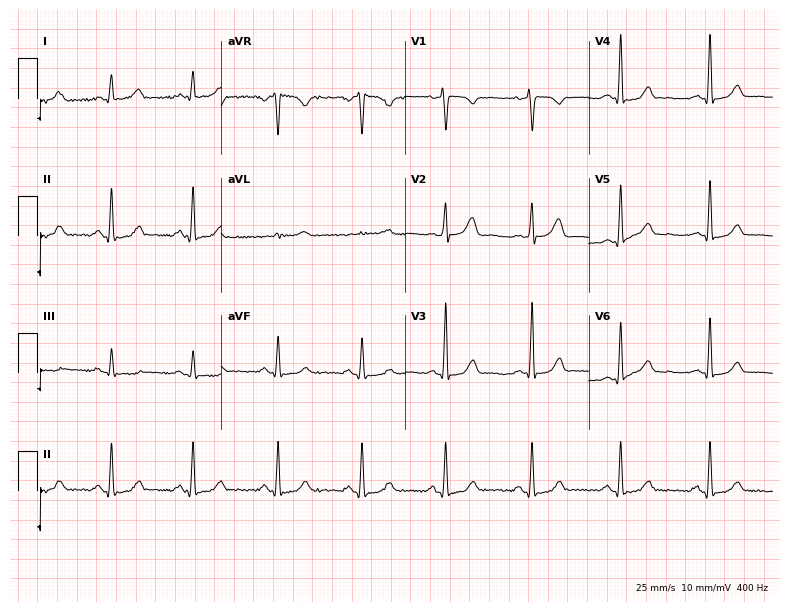
Resting 12-lead electrocardiogram (7.5-second recording at 400 Hz). Patient: a female, 42 years old. None of these six findings is recorded: first-degree AV block, right bundle branch block (RBBB), left bundle branch block (LBBB), sinus bradycardia, atrial fibrillation (AF), sinus tachycardia. Other findings, if any, are not listed.